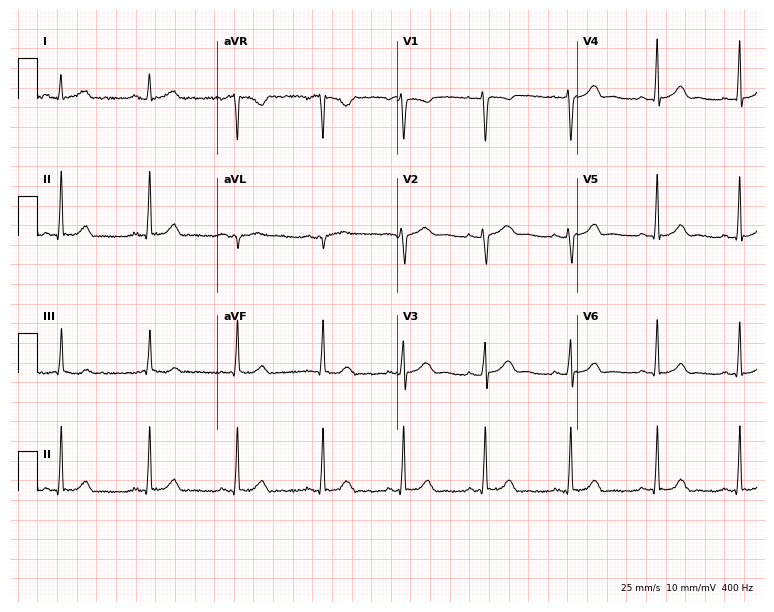
ECG (7.3-second recording at 400 Hz) — a woman, 46 years old. Screened for six findings — first-degree AV block, right bundle branch block (RBBB), left bundle branch block (LBBB), sinus bradycardia, atrial fibrillation (AF), sinus tachycardia — none is recorded. Only these six findings were labelled.